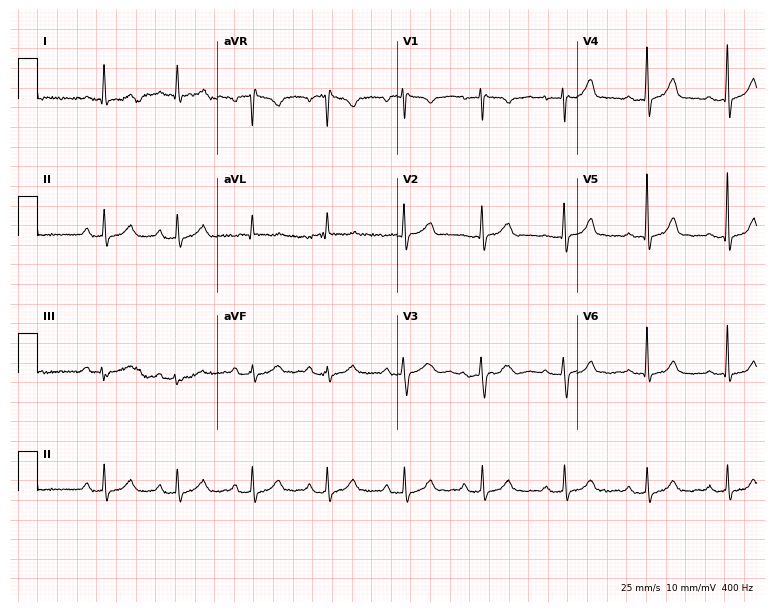
Electrocardiogram (7.3-second recording at 400 Hz), a 50-year-old female. Interpretation includes first-degree AV block.